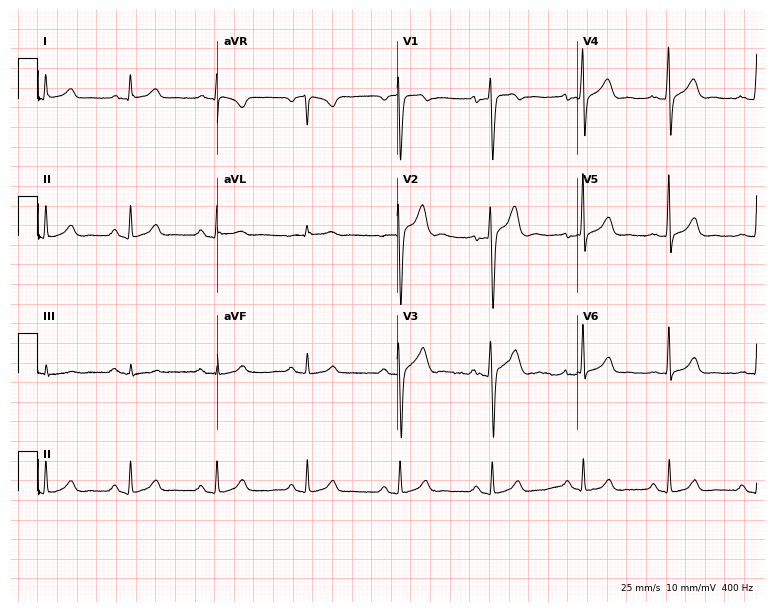
Electrocardiogram (7.3-second recording at 400 Hz), a male patient, 32 years old. Overall reading on record: normal ECG.